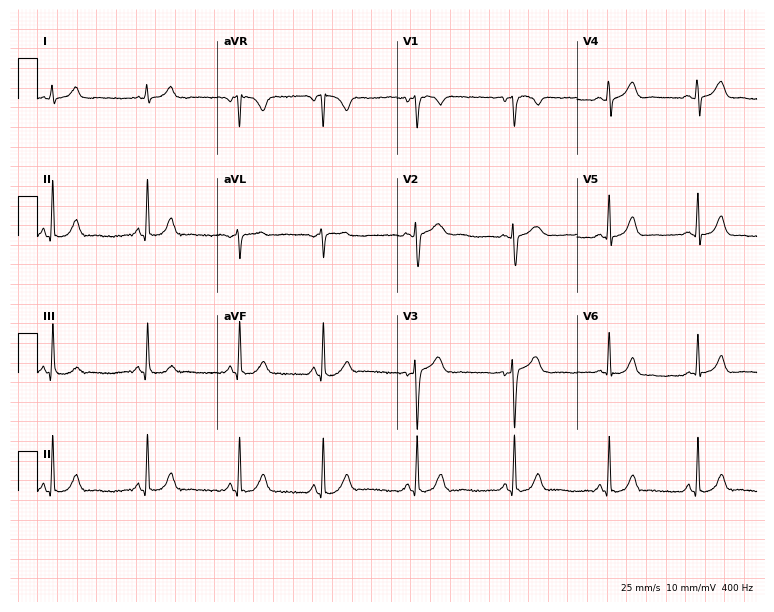
12-lead ECG from a 35-year-old woman. Recorded interpretation: within normal limits.